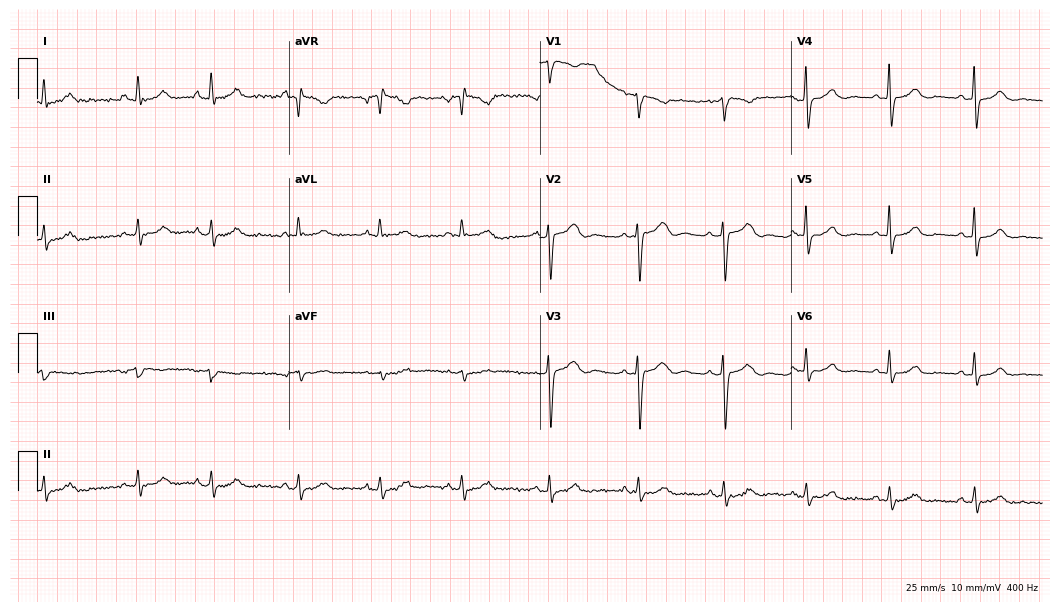
ECG (10.2-second recording at 400 Hz) — a woman, 31 years old. Labelled as a normal ECG.